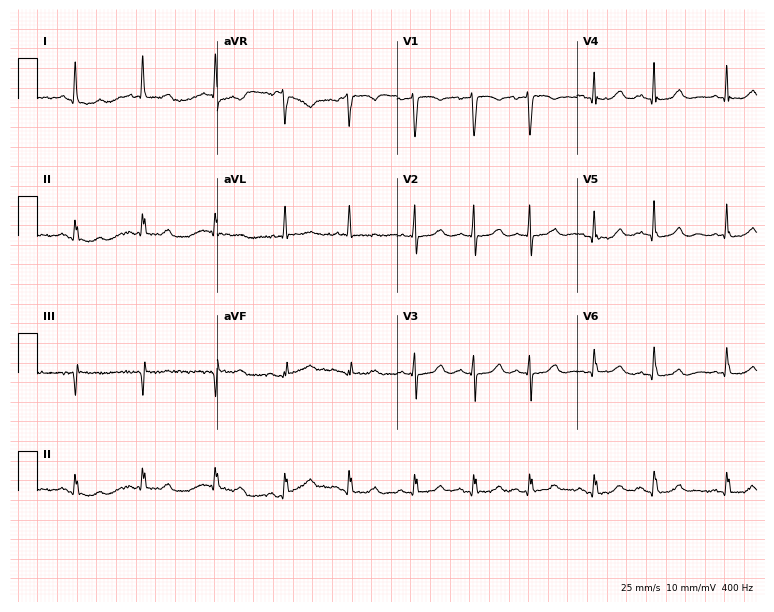
12-lead ECG from a 78-year-old female. Recorded interpretation: within normal limits.